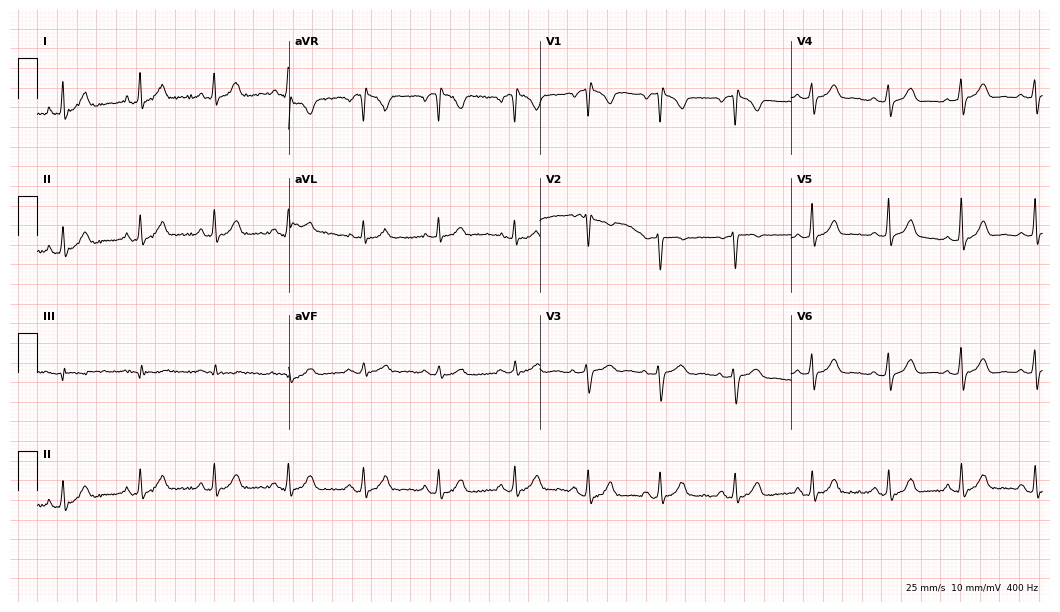
12-lead ECG (10.2-second recording at 400 Hz) from a woman, 35 years old. Labelled as a normal ECG.